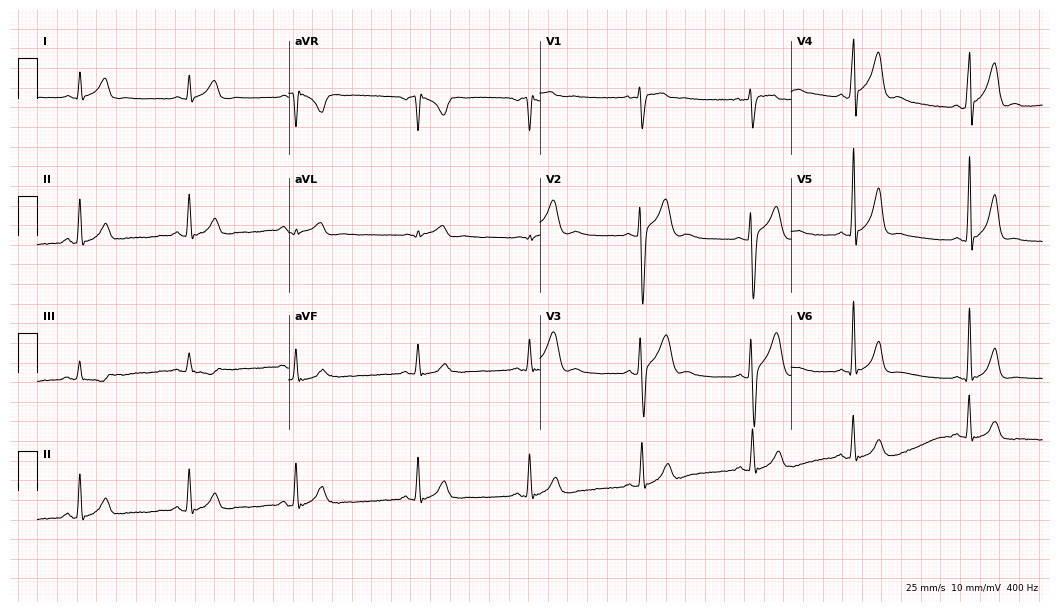
Standard 12-lead ECG recorded from a 26-year-old male. None of these six findings is recorded: first-degree AV block, right bundle branch block, left bundle branch block, sinus bradycardia, atrial fibrillation, sinus tachycardia. Only these six findings were labelled.